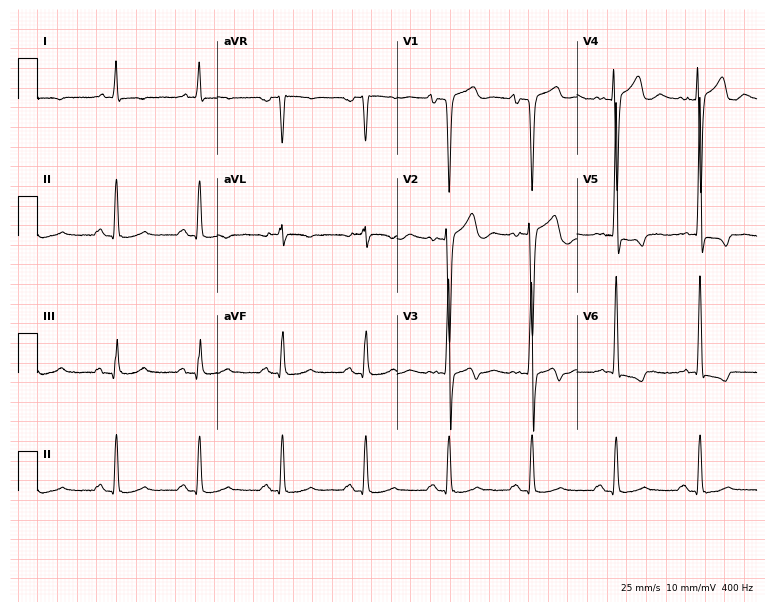
12-lead ECG from a 55-year-old male patient (7.3-second recording at 400 Hz). No first-degree AV block, right bundle branch block, left bundle branch block, sinus bradycardia, atrial fibrillation or sinus tachycardia recorded for this tracing. Only these six findings were labelled.